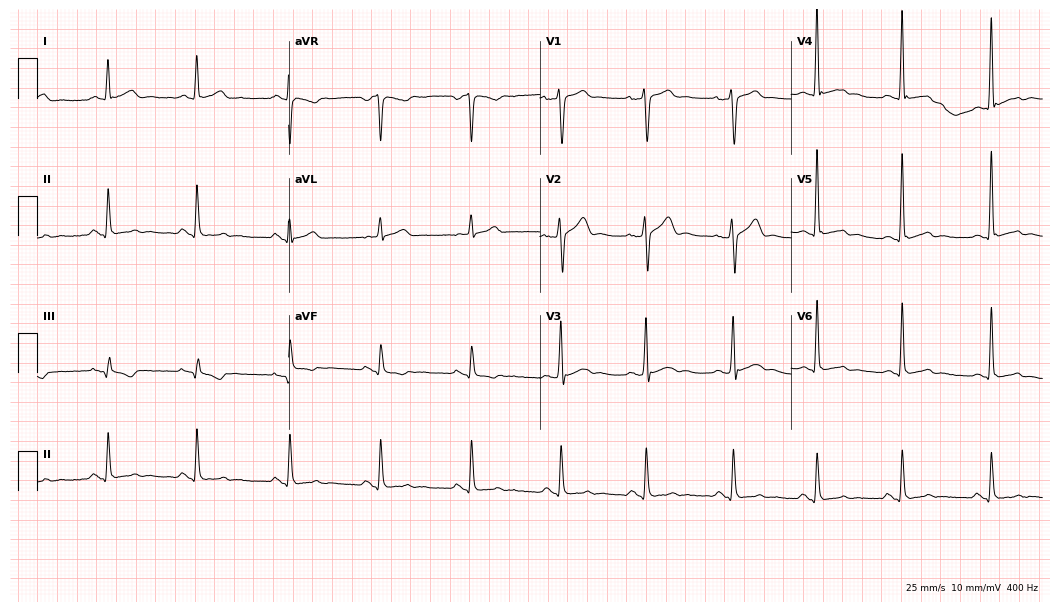
12-lead ECG from a male, 23 years old (10.2-second recording at 400 Hz). No first-degree AV block, right bundle branch block, left bundle branch block, sinus bradycardia, atrial fibrillation or sinus tachycardia recorded for this tracing.